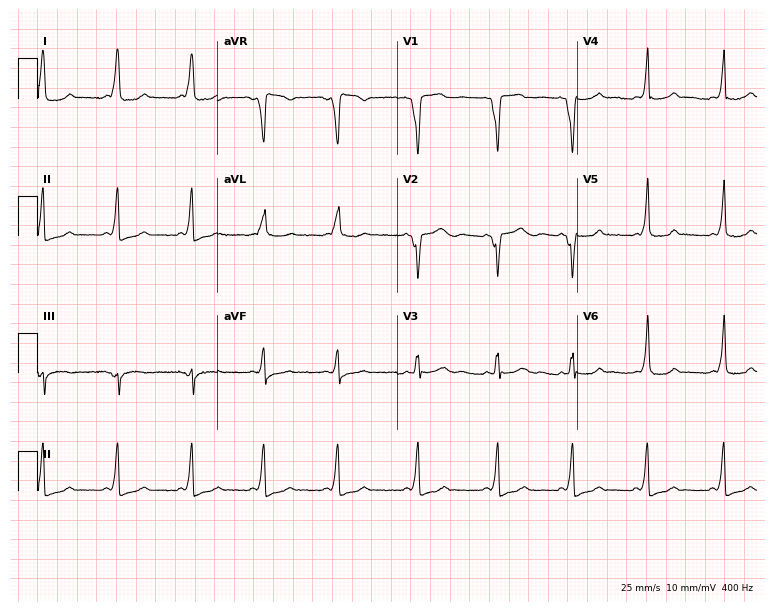
ECG (7.3-second recording at 400 Hz) — a woman, 23 years old. Screened for six findings — first-degree AV block, right bundle branch block (RBBB), left bundle branch block (LBBB), sinus bradycardia, atrial fibrillation (AF), sinus tachycardia — none is recorded.